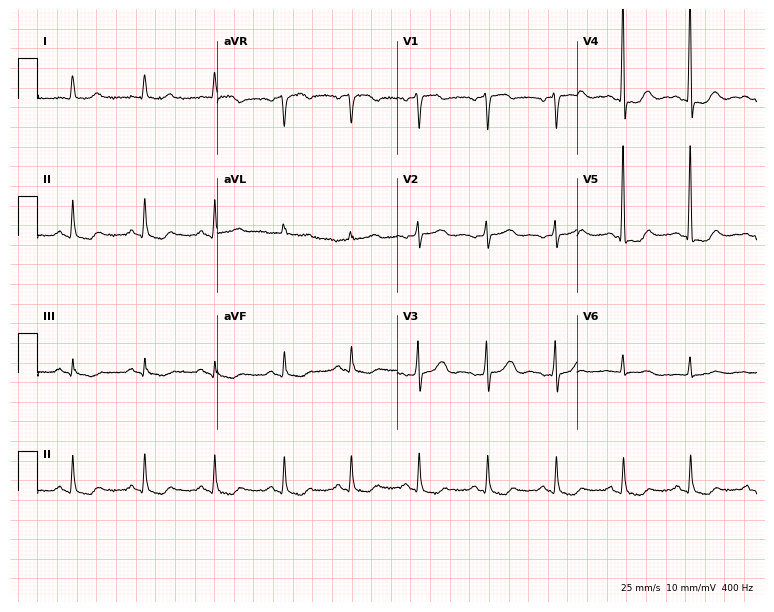
Resting 12-lead electrocardiogram (7.3-second recording at 400 Hz). Patient: a female, 76 years old. None of these six findings is recorded: first-degree AV block, right bundle branch block, left bundle branch block, sinus bradycardia, atrial fibrillation, sinus tachycardia. Findings outside these six are not listed.